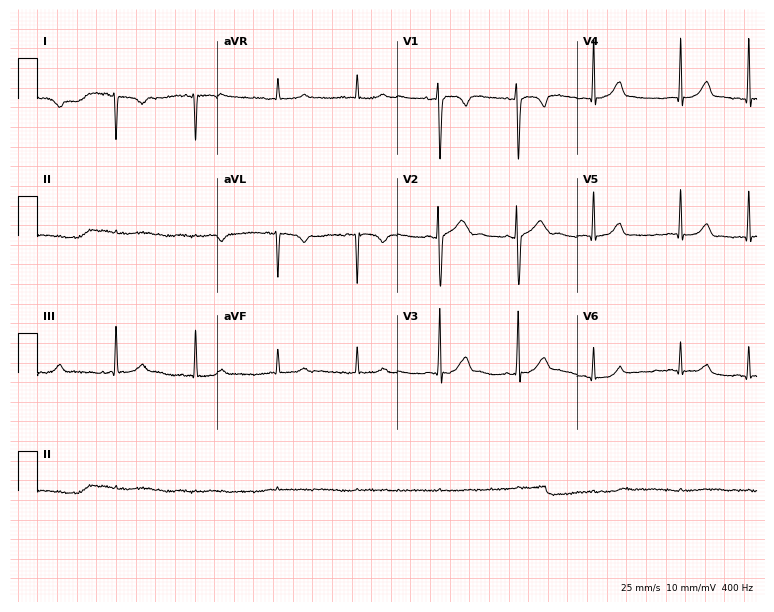
12-lead ECG from a woman, 22 years old (7.3-second recording at 400 Hz). No first-degree AV block, right bundle branch block, left bundle branch block, sinus bradycardia, atrial fibrillation or sinus tachycardia recorded for this tracing. Findings outside these six are not listed.